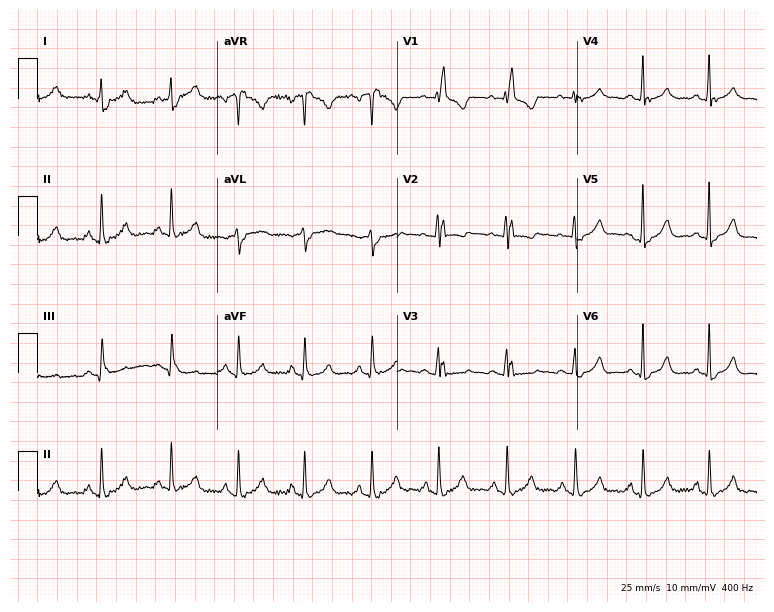
Electrocardiogram, a woman, 44 years old. Interpretation includes right bundle branch block (RBBB).